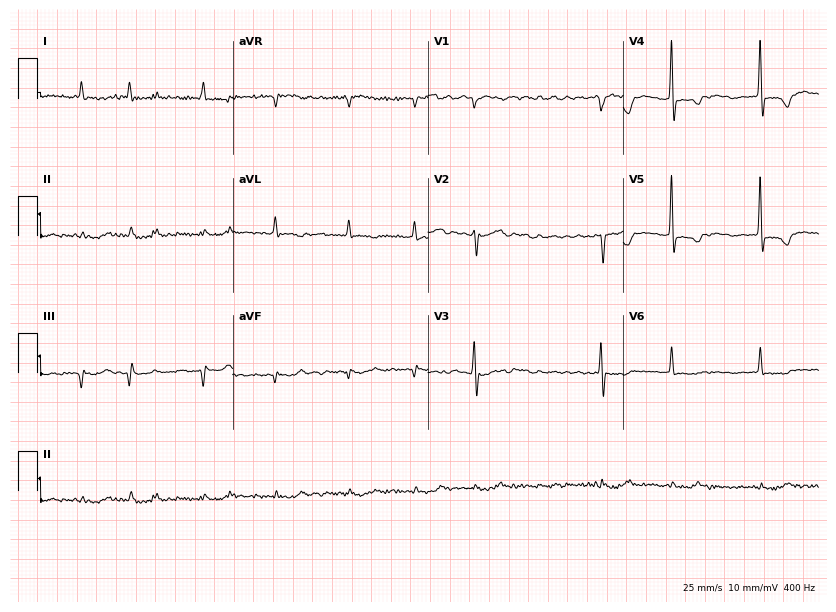
12-lead ECG from an 84-year-old female patient. Shows atrial fibrillation.